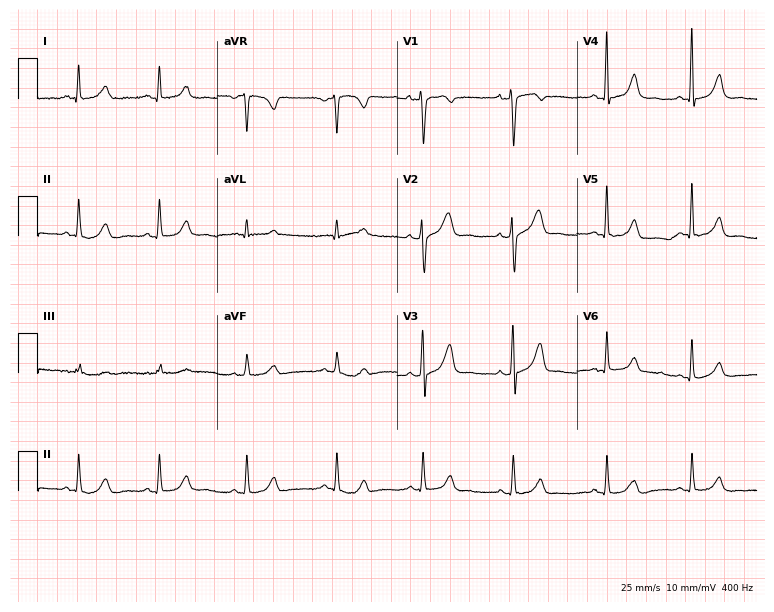
Electrocardiogram (7.3-second recording at 400 Hz), a woman, 40 years old. Of the six screened findings (first-degree AV block, right bundle branch block, left bundle branch block, sinus bradycardia, atrial fibrillation, sinus tachycardia), none is recorded. Only these six findings were labelled.